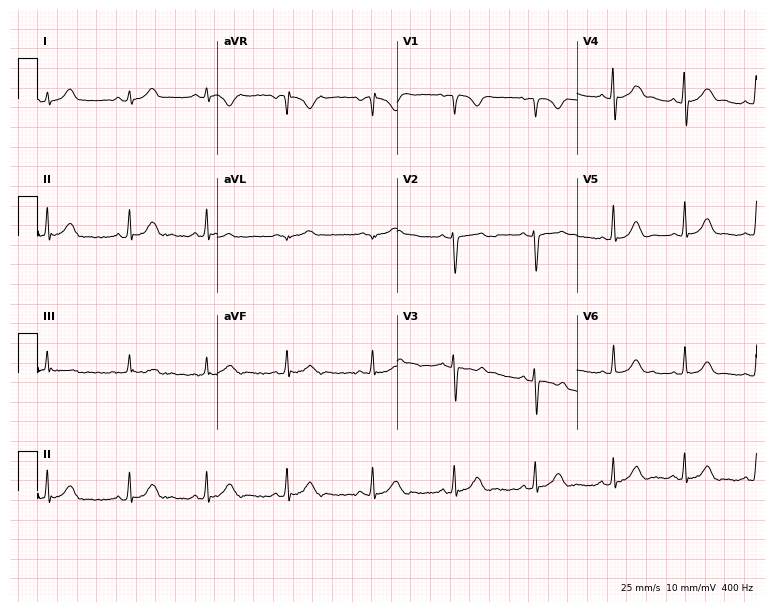
12-lead ECG (7.3-second recording at 400 Hz) from a woman, 19 years old. Screened for six findings — first-degree AV block, right bundle branch block, left bundle branch block, sinus bradycardia, atrial fibrillation, sinus tachycardia — none is recorded. Only these six findings were labelled.